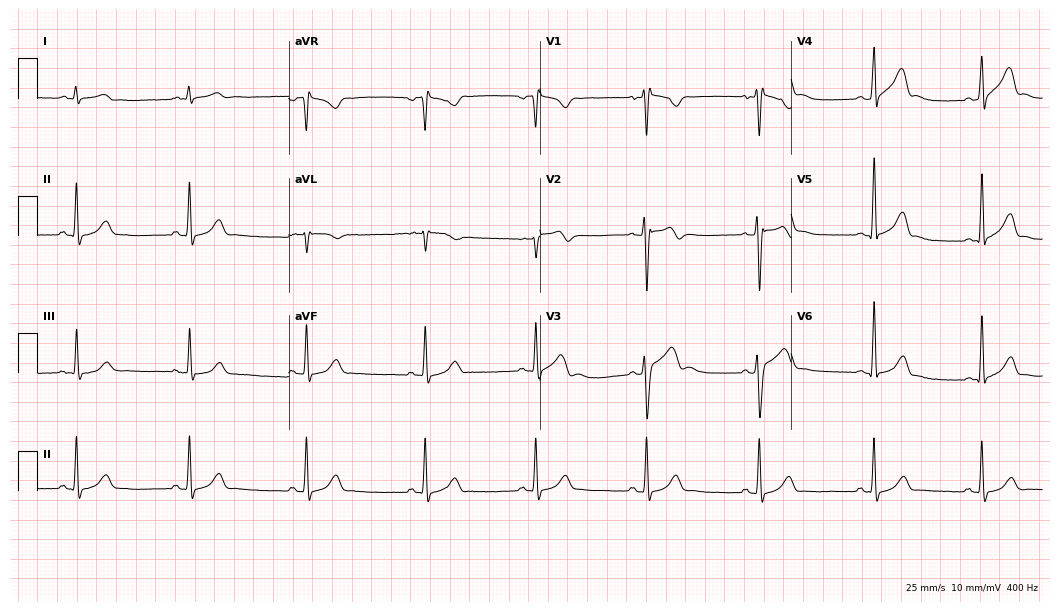
12-lead ECG from a man, 37 years old (10.2-second recording at 400 Hz). No first-degree AV block, right bundle branch block, left bundle branch block, sinus bradycardia, atrial fibrillation or sinus tachycardia recorded for this tracing. Other findings, if any, are not listed.